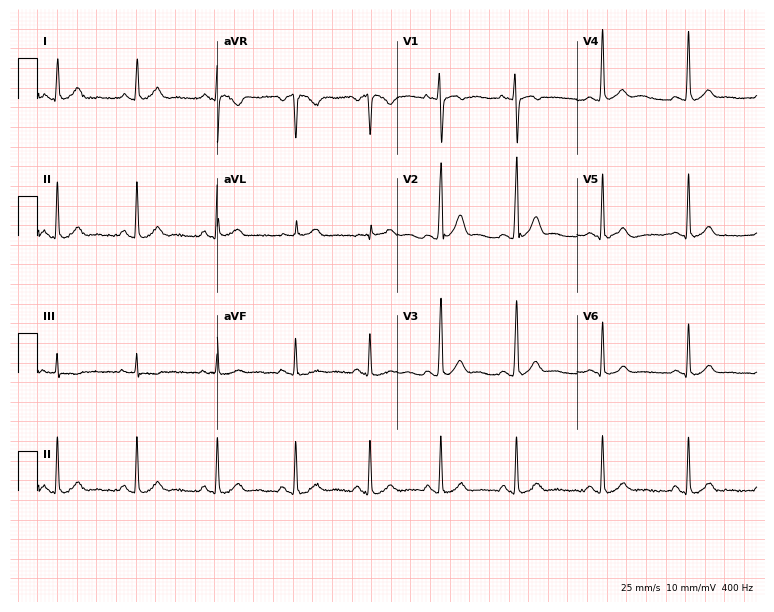
Electrocardiogram (7.3-second recording at 400 Hz), a male, 23 years old. Overall reading on record: normal ECG.